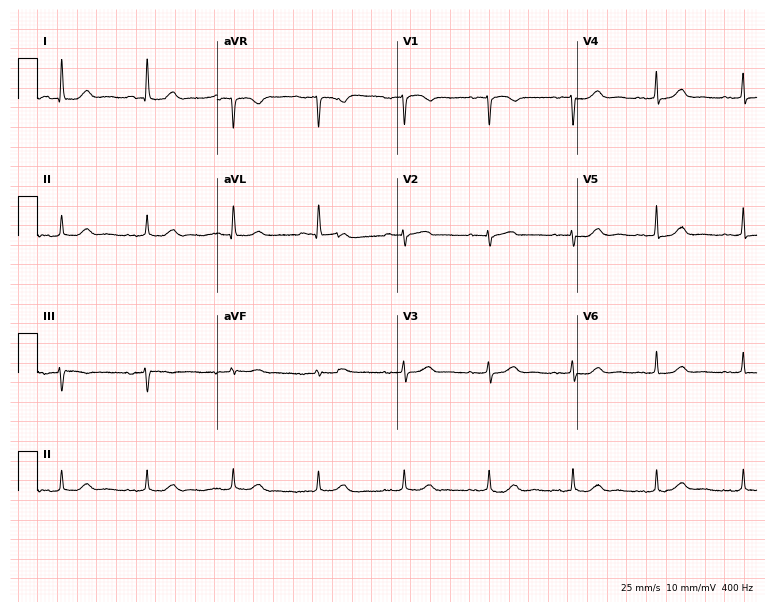
12-lead ECG from a 66-year-old female. Labelled as a normal ECG.